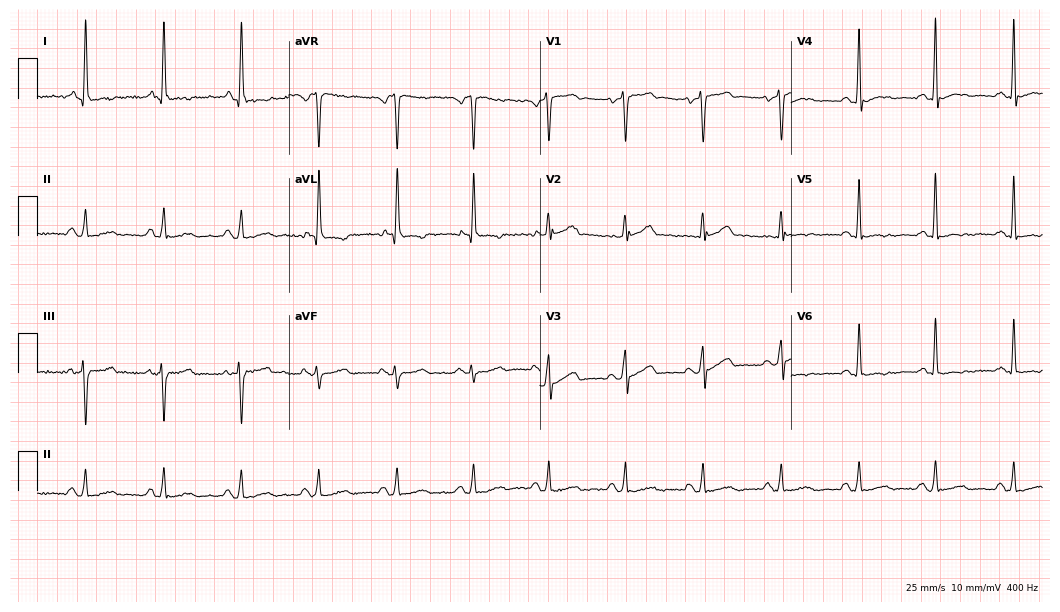
Electrocardiogram, a 65-year-old man. Of the six screened findings (first-degree AV block, right bundle branch block, left bundle branch block, sinus bradycardia, atrial fibrillation, sinus tachycardia), none is recorded. Other findings, if any, are not listed.